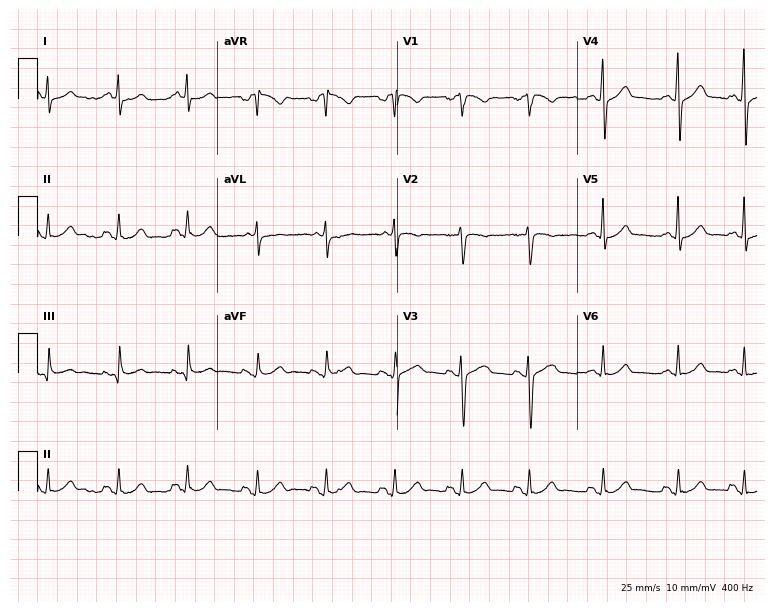
Electrocardiogram (7.3-second recording at 400 Hz), a female, 22 years old. Overall reading on record: normal ECG.